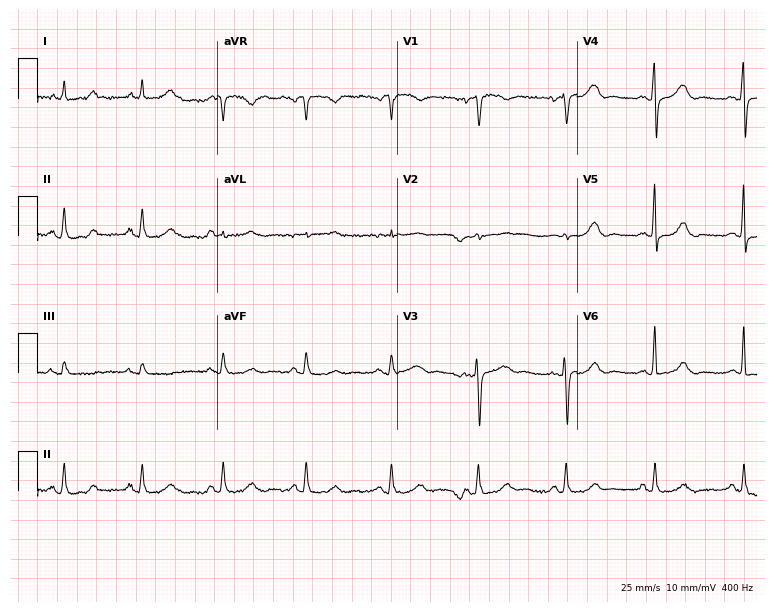
ECG — a female patient, 68 years old. Labelled as a normal ECG.